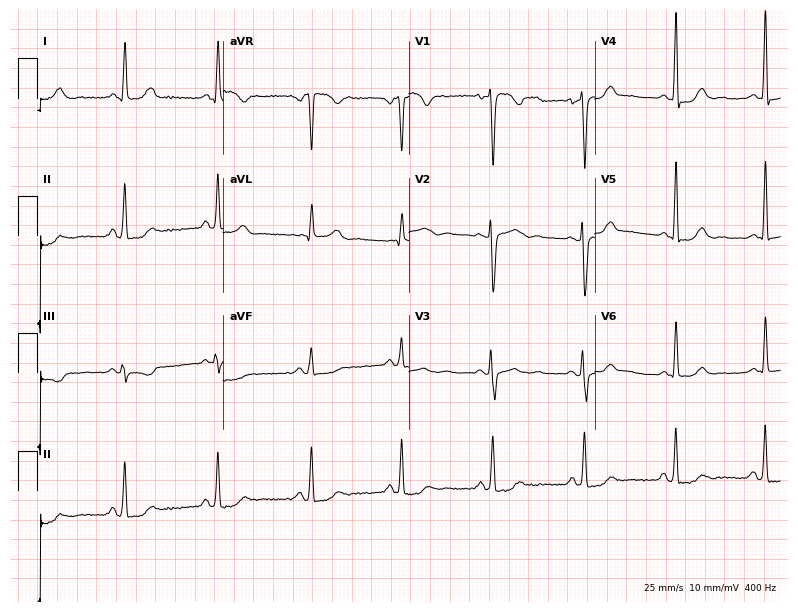
Standard 12-lead ECG recorded from a woman, 32 years old. None of these six findings is recorded: first-degree AV block, right bundle branch block, left bundle branch block, sinus bradycardia, atrial fibrillation, sinus tachycardia. Findings outside these six are not listed.